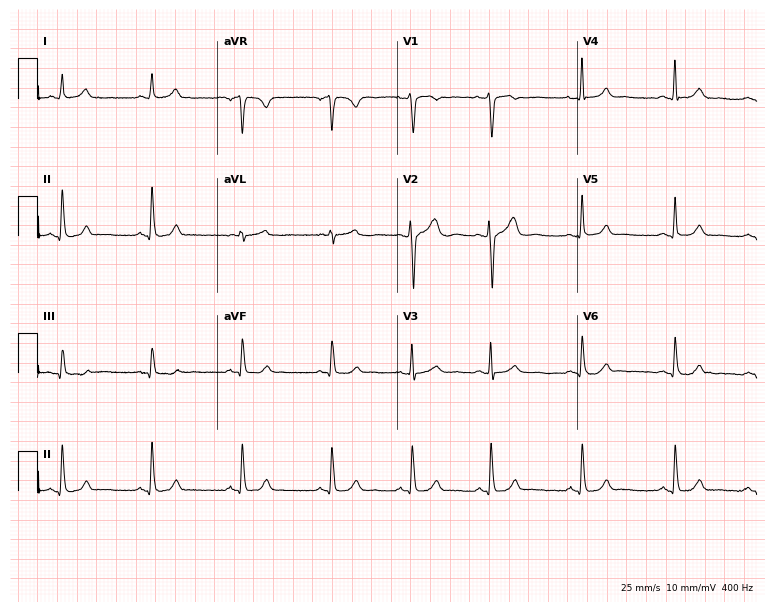
ECG (7.3-second recording at 400 Hz) — a woman, 35 years old. Labelled as a normal ECG.